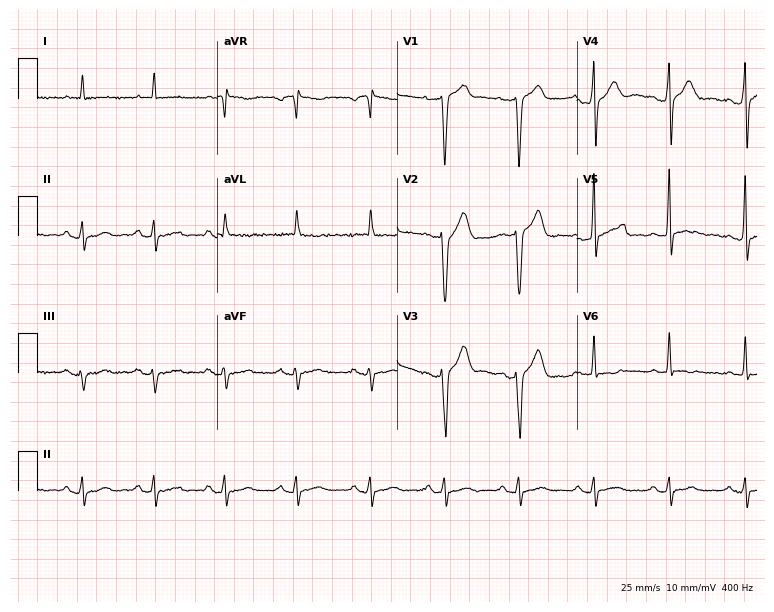
12-lead ECG (7.3-second recording at 400 Hz) from a male patient, 54 years old. Screened for six findings — first-degree AV block, right bundle branch block, left bundle branch block, sinus bradycardia, atrial fibrillation, sinus tachycardia — none is recorded.